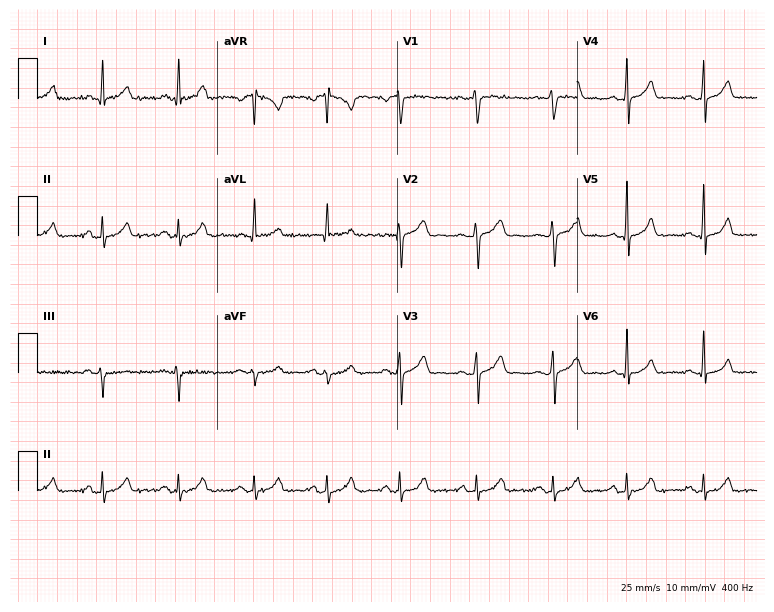
12-lead ECG from a woman, 36 years old (7.3-second recording at 400 Hz). Recorded interpretation: within normal limits.